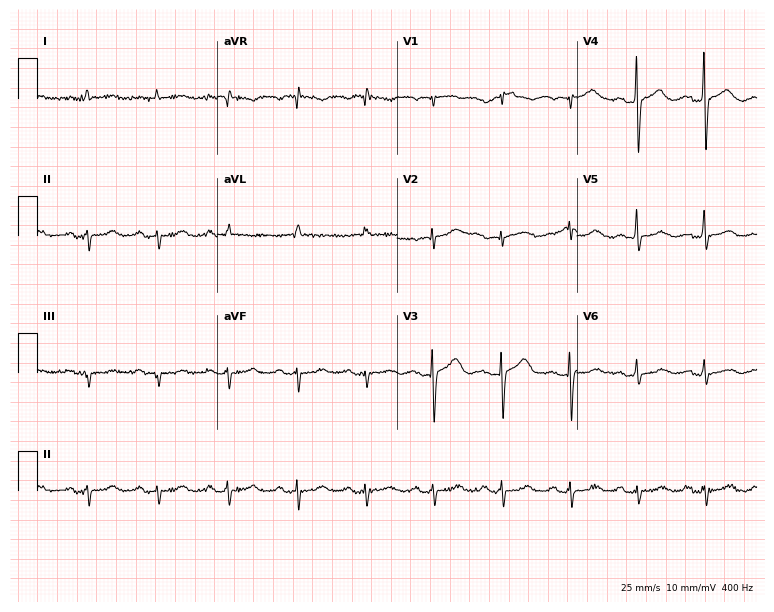
12-lead ECG from an 83-year-old woman. No first-degree AV block, right bundle branch block (RBBB), left bundle branch block (LBBB), sinus bradycardia, atrial fibrillation (AF) or sinus tachycardia recorded for this tracing.